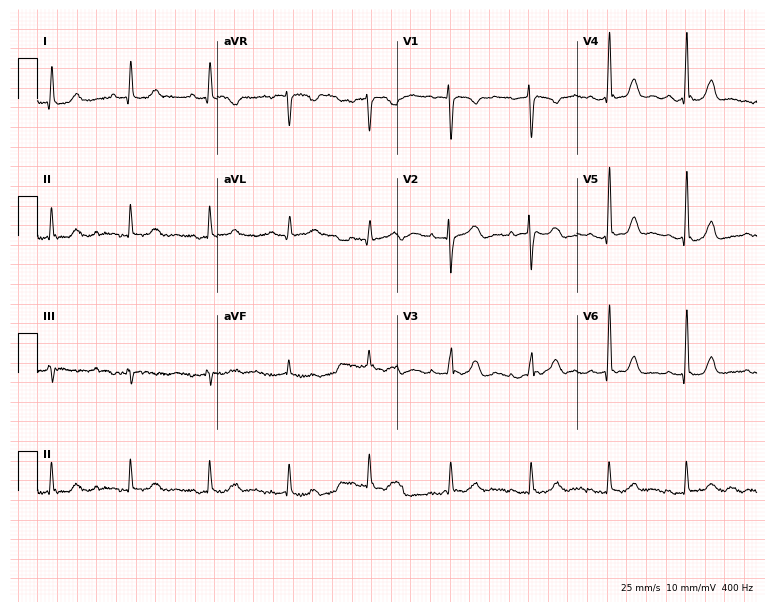
12-lead ECG from a female, 38 years old. Screened for six findings — first-degree AV block, right bundle branch block, left bundle branch block, sinus bradycardia, atrial fibrillation, sinus tachycardia — none is recorded.